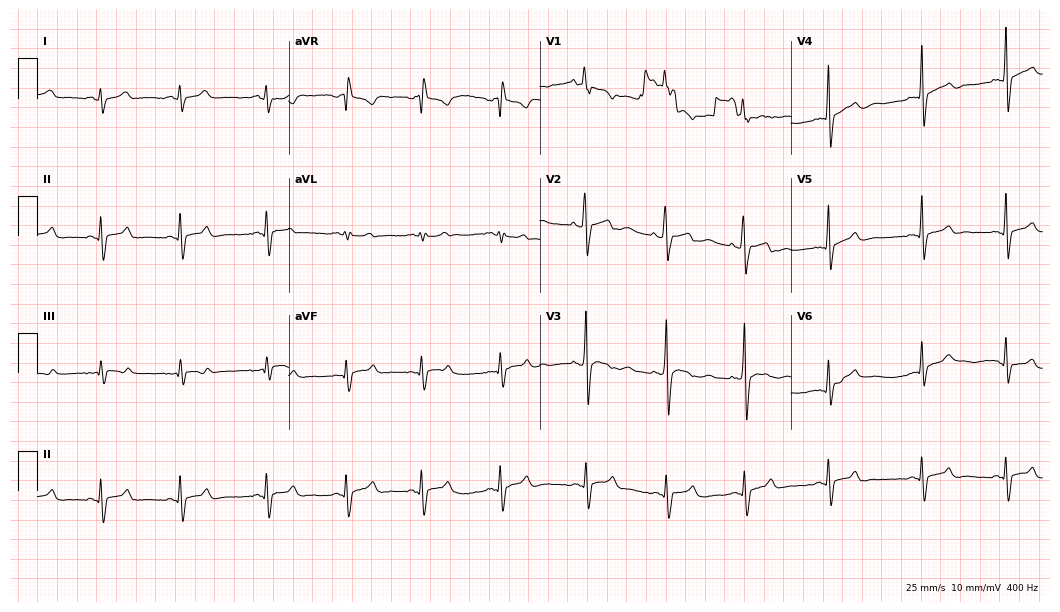
12-lead ECG from a 17-year-old male patient. Labelled as a normal ECG.